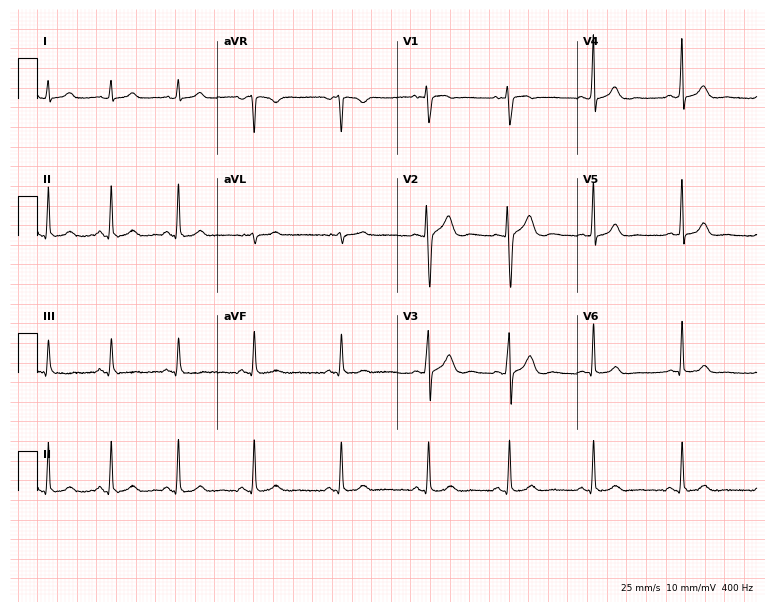
12-lead ECG from a 23-year-old woman. Screened for six findings — first-degree AV block, right bundle branch block, left bundle branch block, sinus bradycardia, atrial fibrillation, sinus tachycardia — none is recorded. Other findings, if any, are not listed.